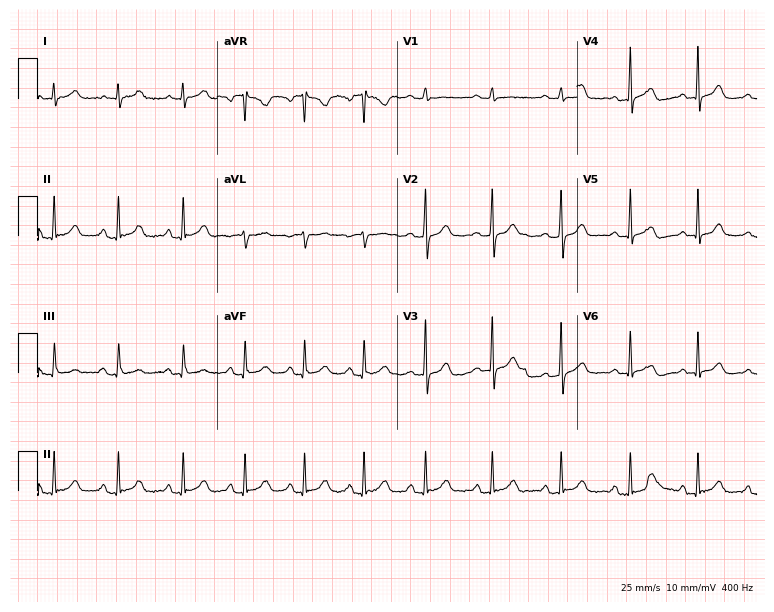
Resting 12-lead electrocardiogram. Patient: a 25-year-old female. Read as a normal ECG.